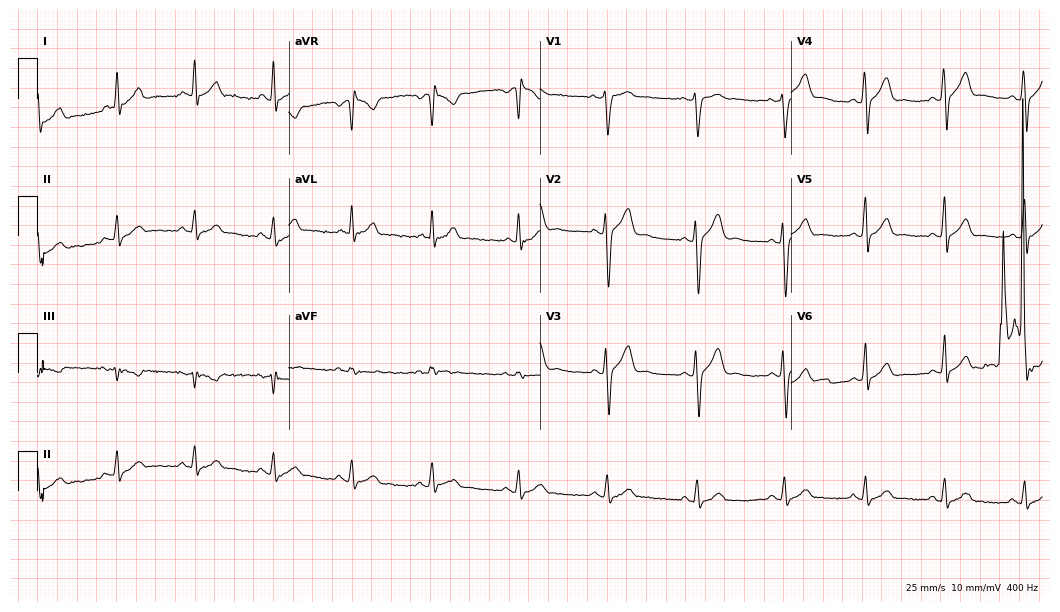
12-lead ECG from a male patient, 31 years old (10.2-second recording at 400 Hz). No first-degree AV block, right bundle branch block (RBBB), left bundle branch block (LBBB), sinus bradycardia, atrial fibrillation (AF) or sinus tachycardia recorded for this tracing.